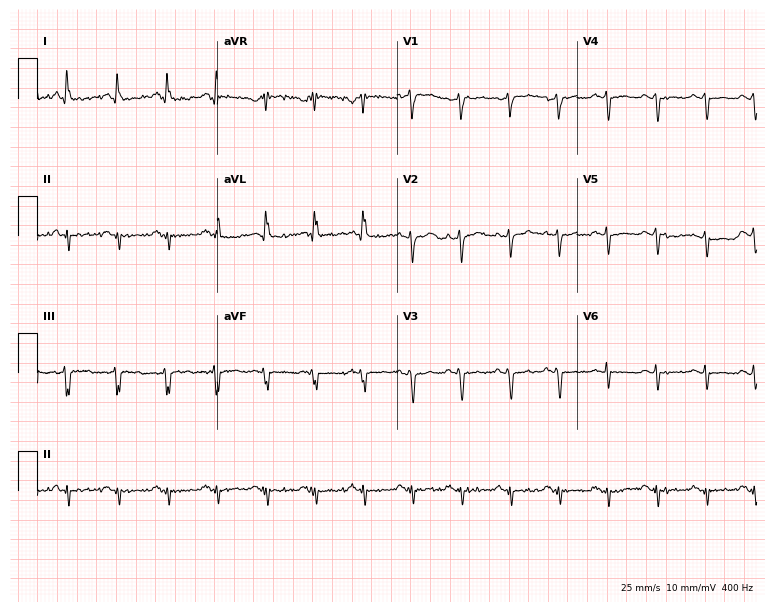
12-lead ECG from a 36-year-old man. Findings include sinus tachycardia (a sinus rate of 100 beats per minute or more).